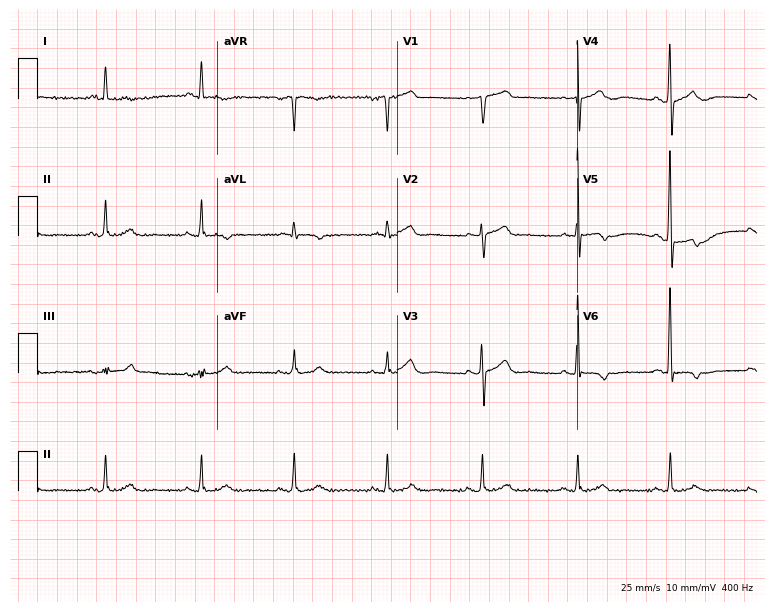
Standard 12-lead ECG recorded from a 76-year-old male patient. None of these six findings is recorded: first-degree AV block, right bundle branch block, left bundle branch block, sinus bradycardia, atrial fibrillation, sinus tachycardia.